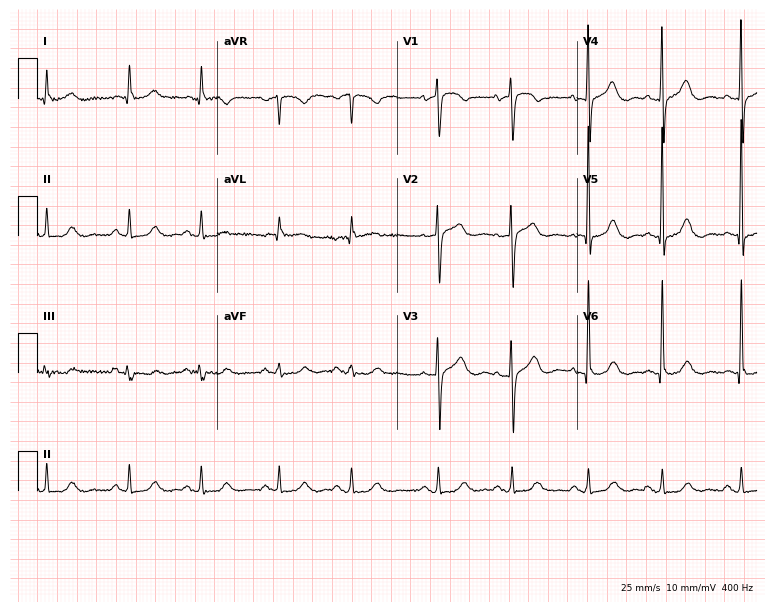
ECG (7.3-second recording at 400 Hz) — an 83-year-old female. Labelled as a normal ECG.